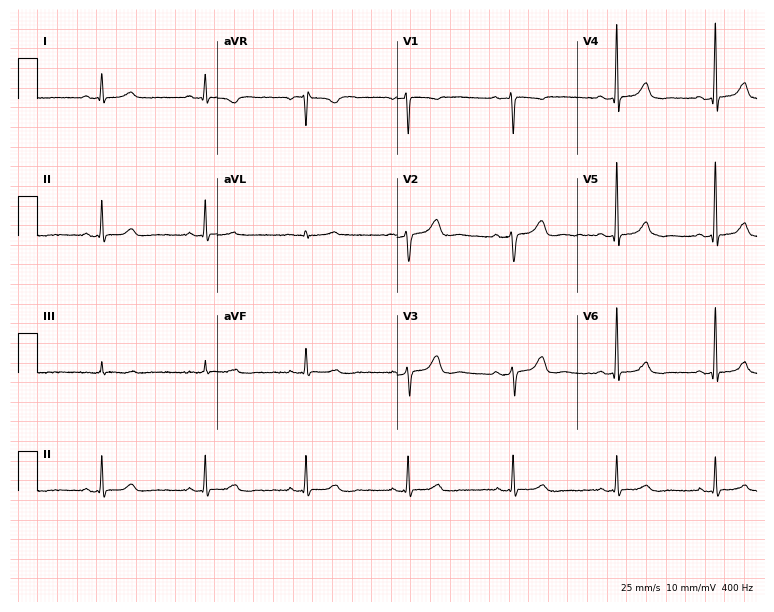
ECG (7.3-second recording at 400 Hz) — a 34-year-old woman. Labelled as a normal ECG.